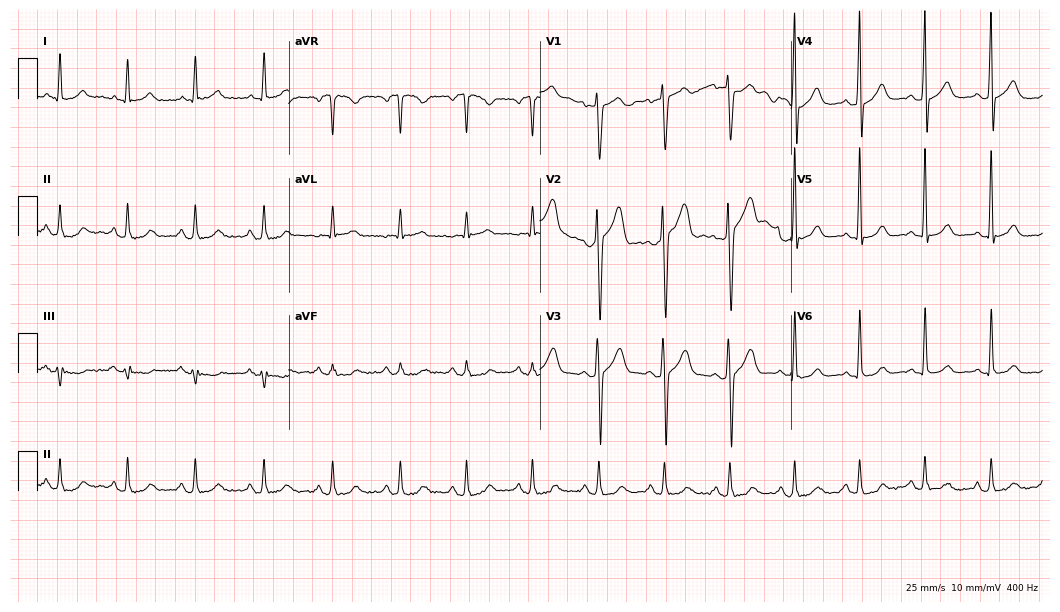
12-lead ECG from a man, 60 years old (10.2-second recording at 400 Hz). Recorded interpretation: within normal limits.